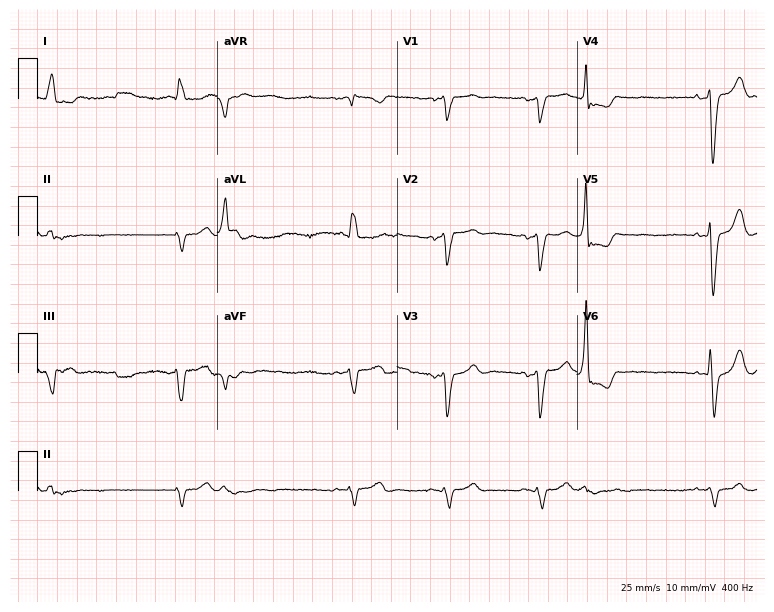
12-lead ECG from a man, 85 years old. Shows atrial fibrillation (AF).